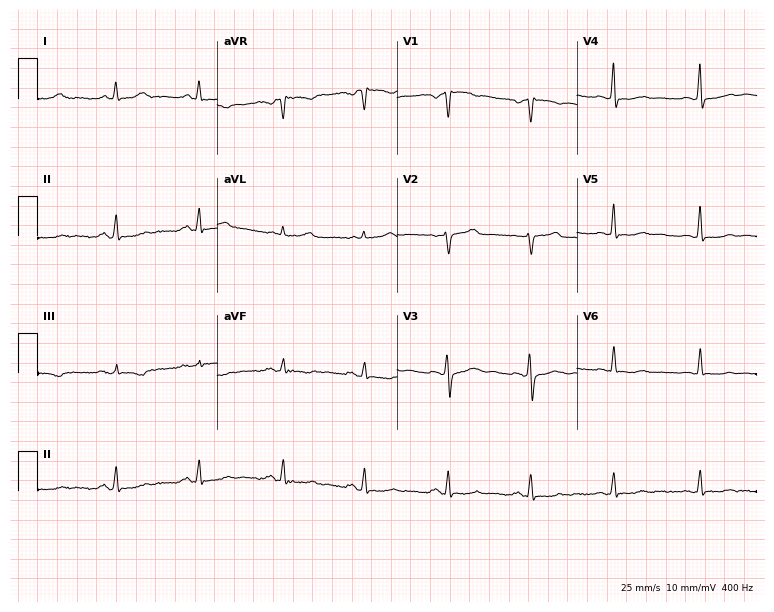
ECG — a 51-year-old woman. Screened for six findings — first-degree AV block, right bundle branch block, left bundle branch block, sinus bradycardia, atrial fibrillation, sinus tachycardia — none is recorded.